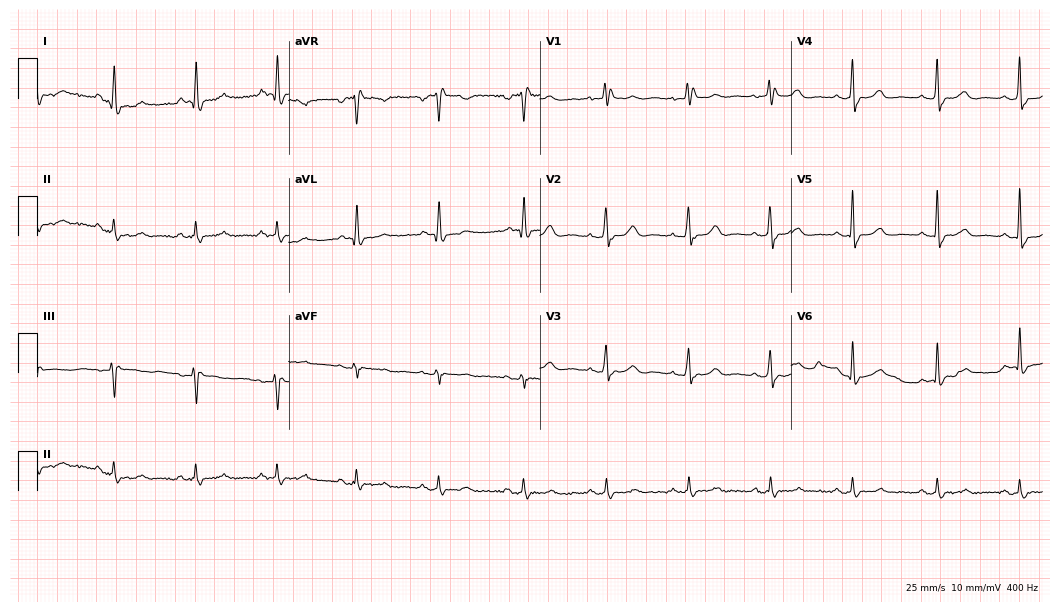
Electrocardiogram (10.2-second recording at 400 Hz), a female, 69 years old. Of the six screened findings (first-degree AV block, right bundle branch block (RBBB), left bundle branch block (LBBB), sinus bradycardia, atrial fibrillation (AF), sinus tachycardia), none is recorded.